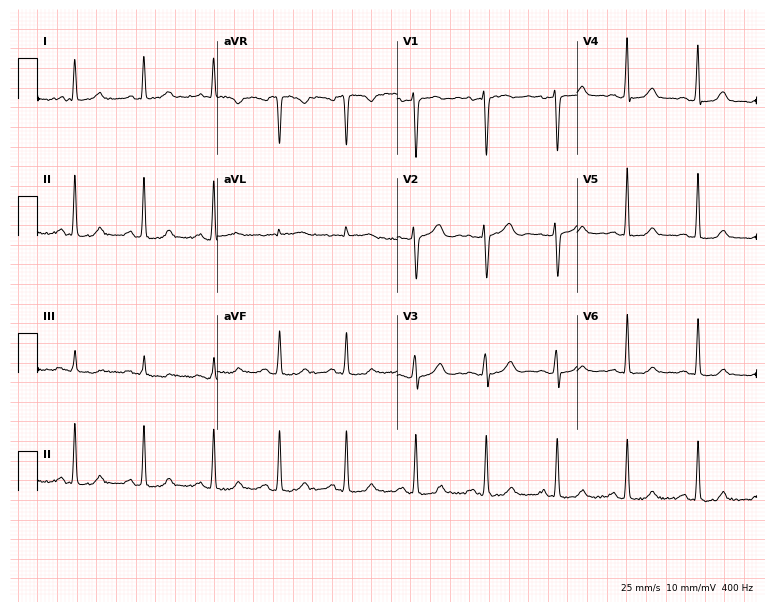
12-lead ECG from a female, 30 years old. No first-degree AV block, right bundle branch block, left bundle branch block, sinus bradycardia, atrial fibrillation or sinus tachycardia recorded for this tracing.